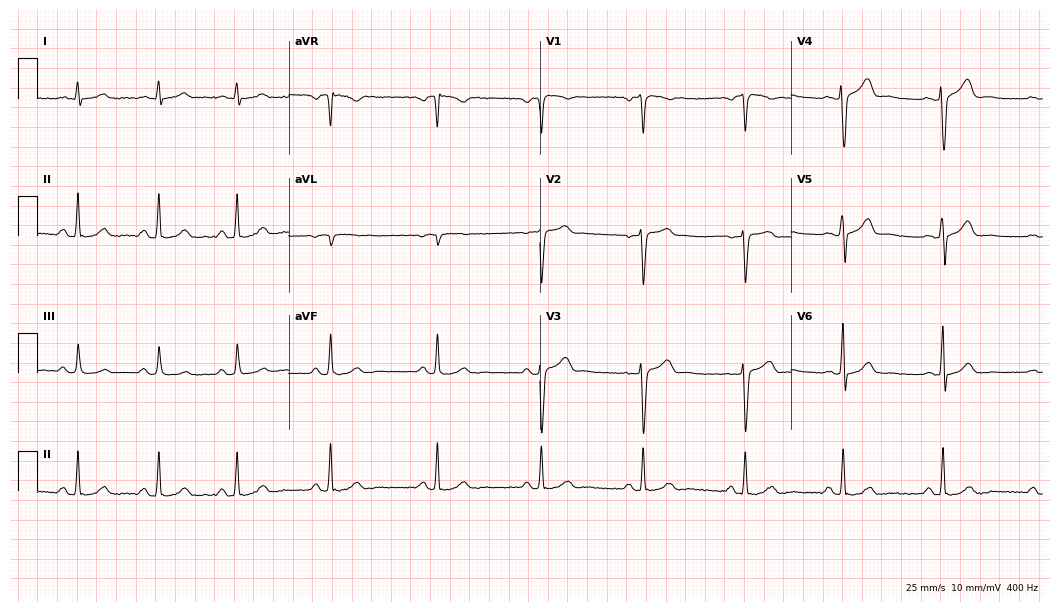
12-lead ECG (10.2-second recording at 400 Hz) from a male patient, 40 years old. Screened for six findings — first-degree AV block, right bundle branch block (RBBB), left bundle branch block (LBBB), sinus bradycardia, atrial fibrillation (AF), sinus tachycardia — none is recorded. Other findings, if any, are not listed.